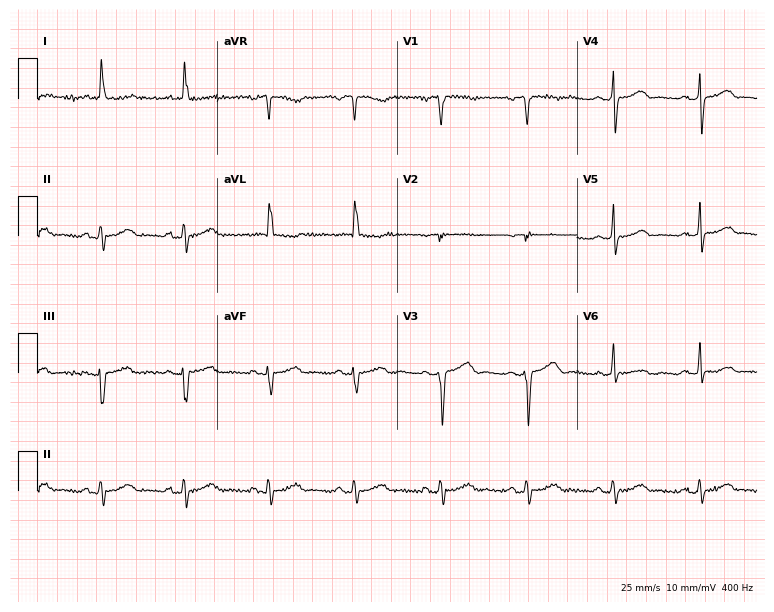
Resting 12-lead electrocardiogram. Patient: a 67-year-old female. None of these six findings is recorded: first-degree AV block, right bundle branch block, left bundle branch block, sinus bradycardia, atrial fibrillation, sinus tachycardia. Other findings, if any, are not listed.